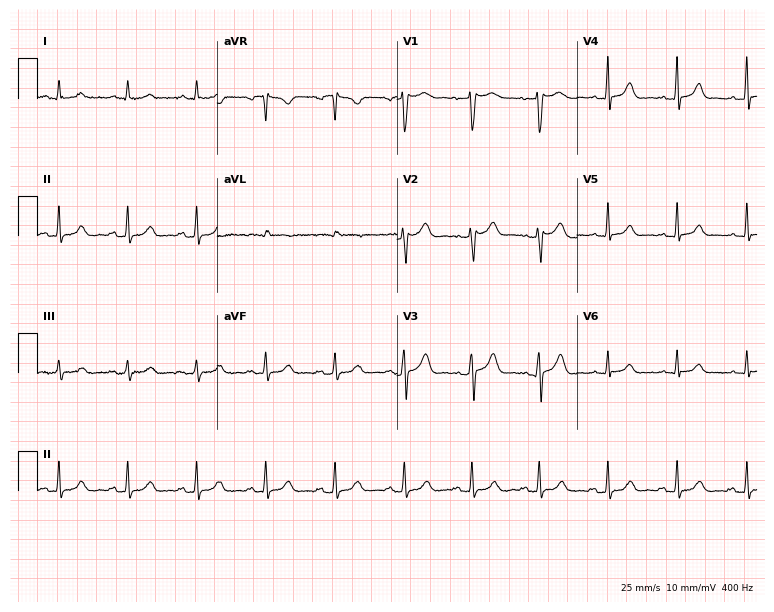
12-lead ECG from a female, 45 years old. No first-degree AV block, right bundle branch block (RBBB), left bundle branch block (LBBB), sinus bradycardia, atrial fibrillation (AF) or sinus tachycardia recorded for this tracing. Findings outside these six are not listed.